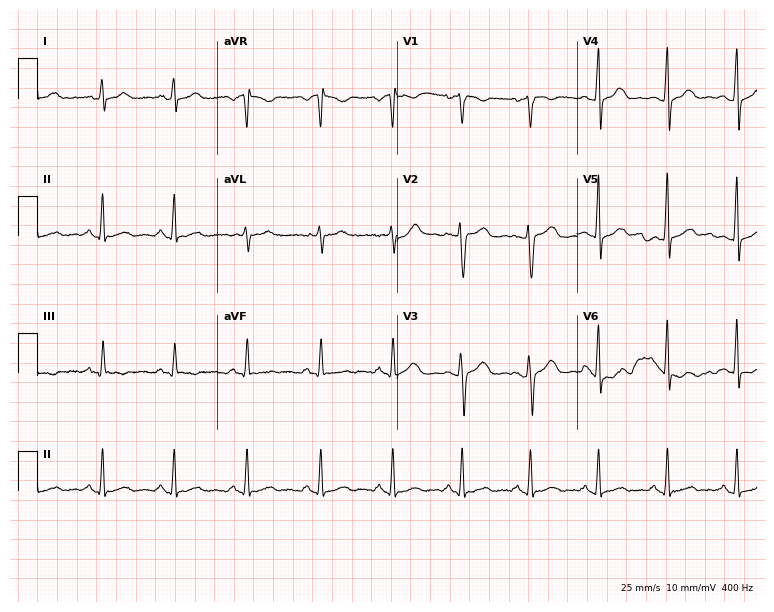
ECG (7.3-second recording at 400 Hz) — a woman, 41 years old. Labelled as a normal ECG.